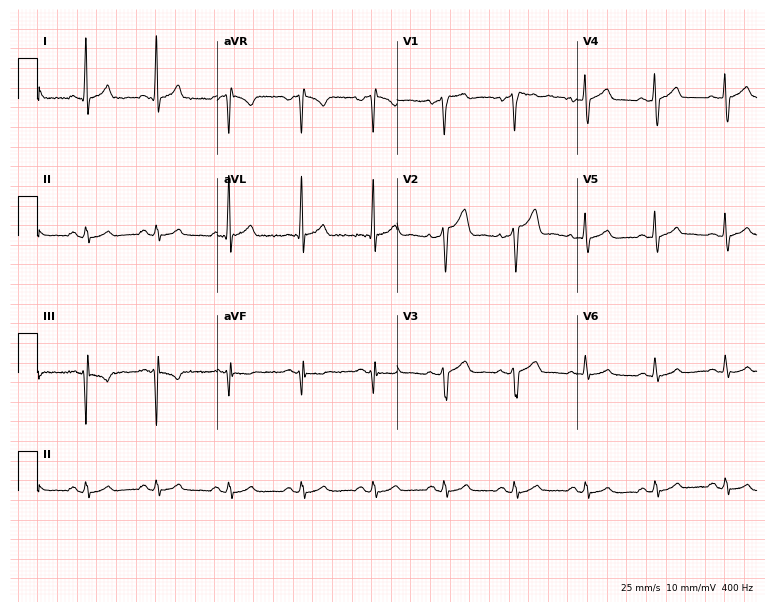
12-lead ECG (7.3-second recording at 400 Hz) from a male patient, 47 years old. Labelled as a normal ECG.